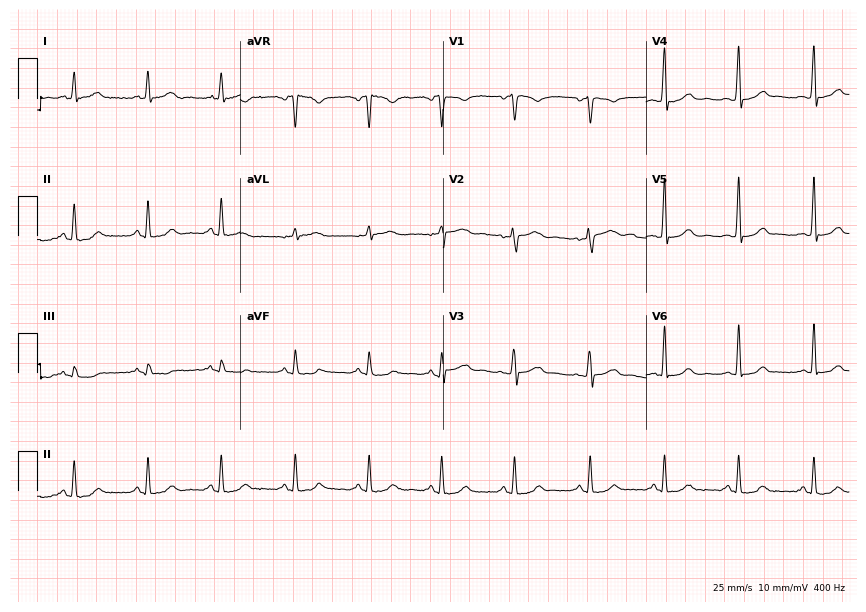
12-lead ECG from a female, 45 years old (8.3-second recording at 400 Hz). Recorded interpretation: within normal limits.